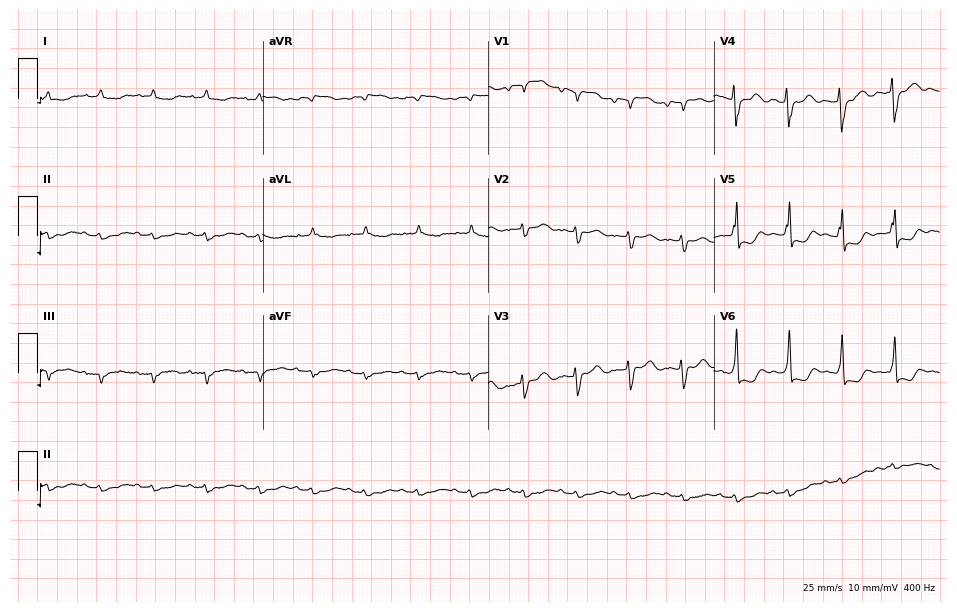
12-lead ECG from a male patient, 81 years old. No first-degree AV block, right bundle branch block, left bundle branch block, sinus bradycardia, atrial fibrillation or sinus tachycardia recorded for this tracing.